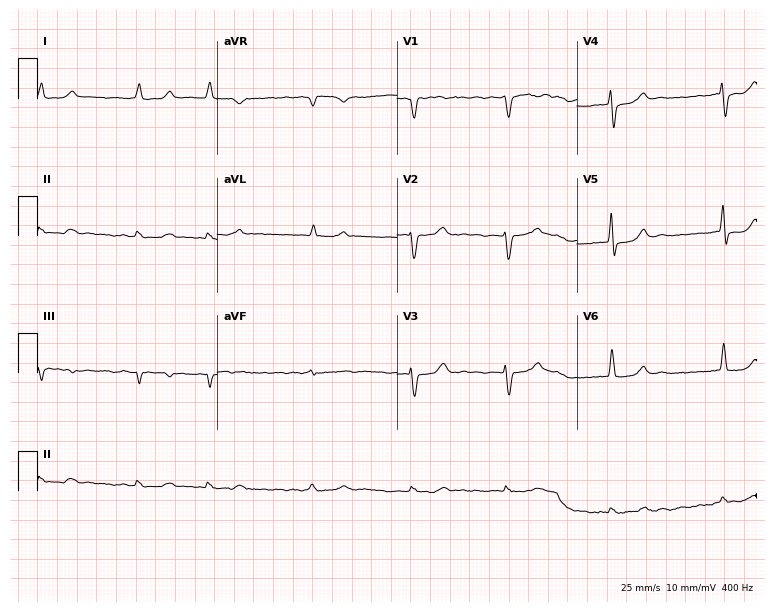
Standard 12-lead ECG recorded from a 68-year-old woman. The tracing shows atrial fibrillation.